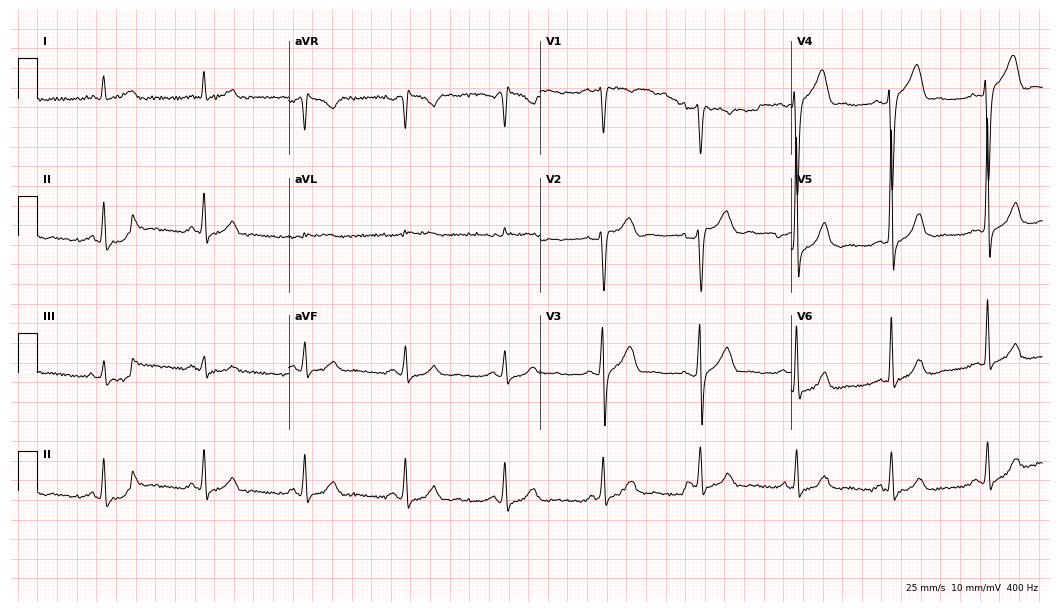
Standard 12-lead ECG recorded from a 46-year-old male (10.2-second recording at 400 Hz). None of these six findings is recorded: first-degree AV block, right bundle branch block (RBBB), left bundle branch block (LBBB), sinus bradycardia, atrial fibrillation (AF), sinus tachycardia.